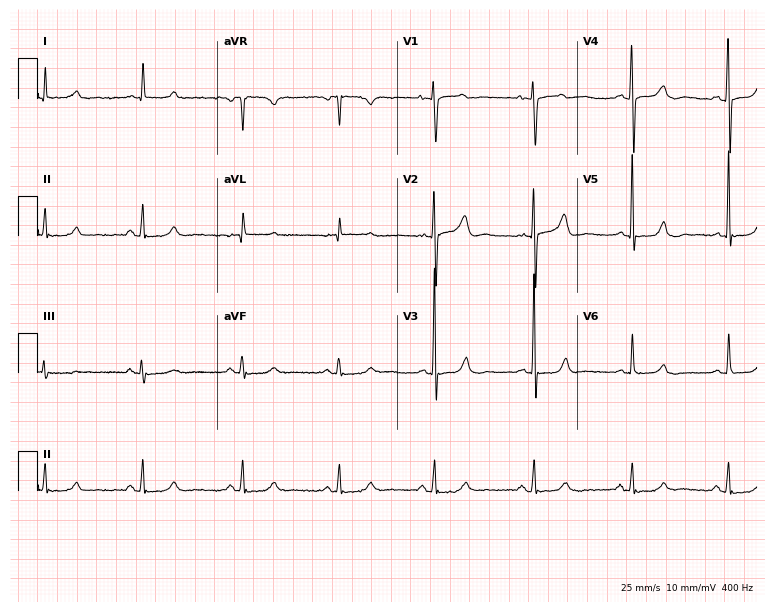
Resting 12-lead electrocardiogram (7.3-second recording at 400 Hz). Patient: a 75-year-old woman. Read as a normal ECG.